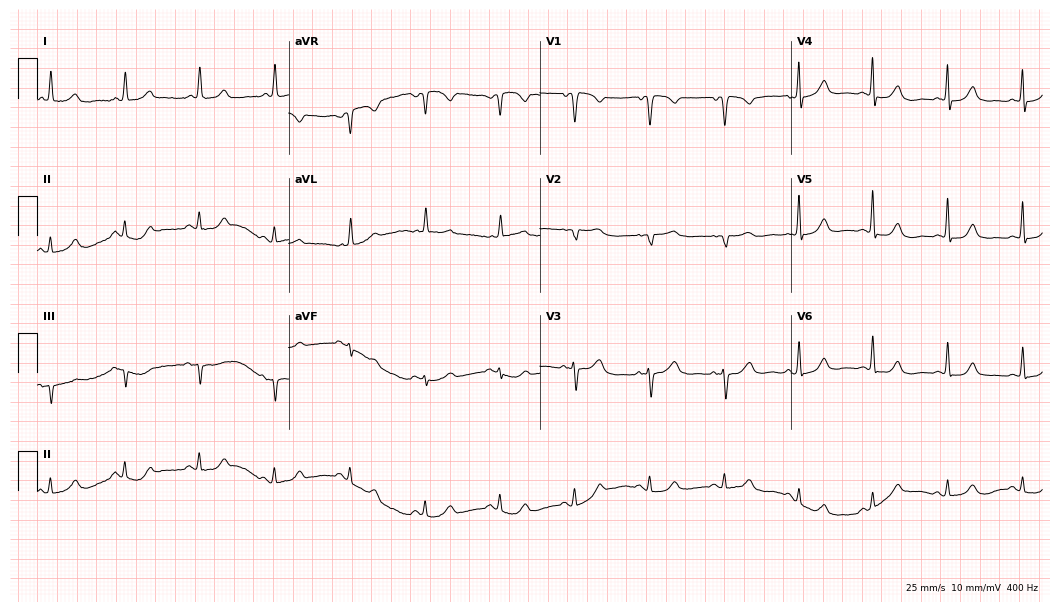
ECG — a woman, 73 years old. Labelled as a normal ECG.